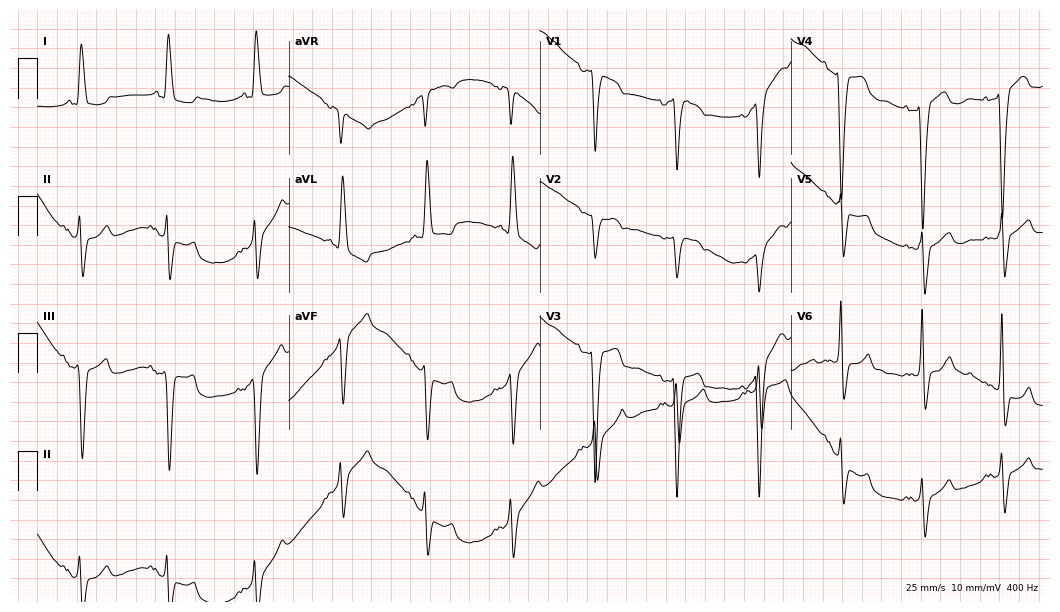
Resting 12-lead electrocardiogram (10.2-second recording at 400 Hz). Patient: a 62-year-old female. The tracing shows left bundle branch block.